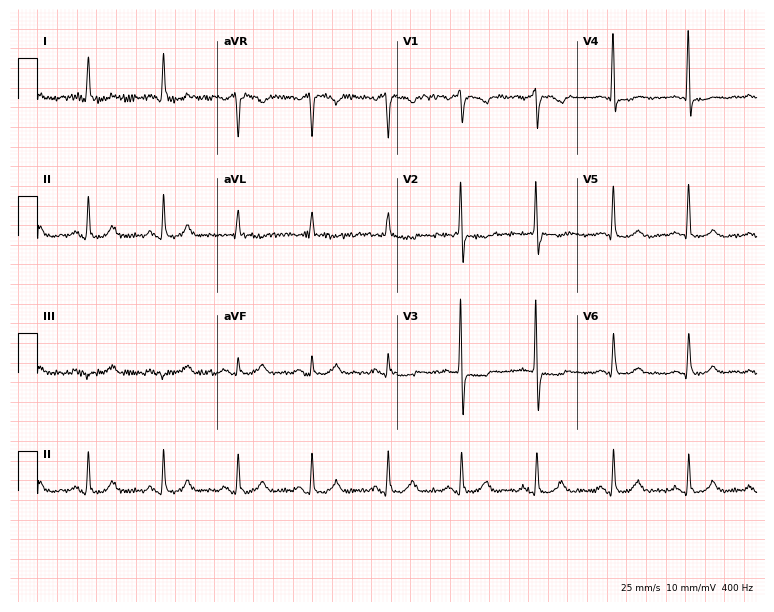
Standard 12-lead ECG recorded from a female patient, 64 years old. Read as a normal ECG.